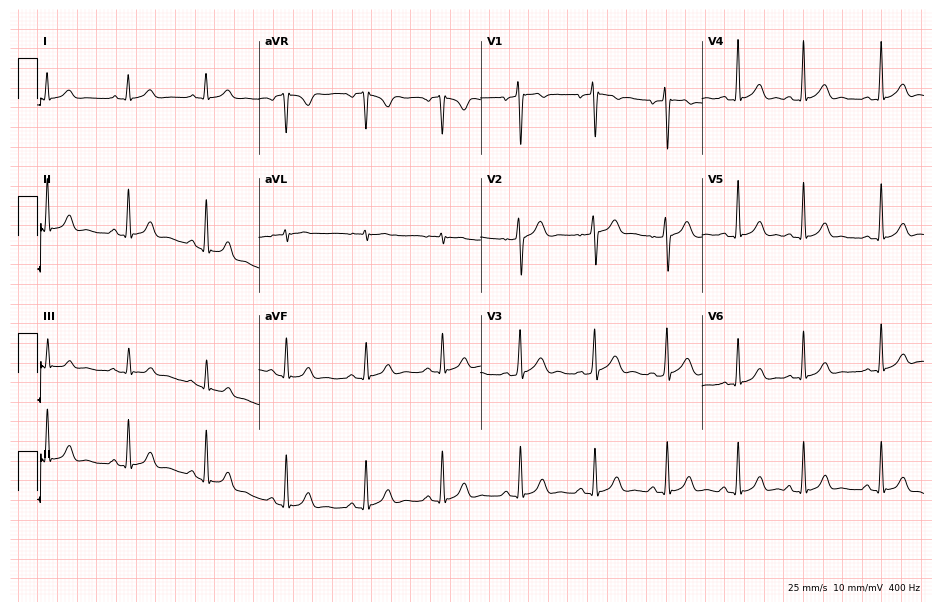
Standard 12-lead ECG recorded from a man, 22 years old (9-second recording at 400 Hz). None of these six findings is recorded: first-degree AV block, right bundle branch block, left bundle branch block, sinus bradycardia, atrial fibrillation, sinus tachycardia.